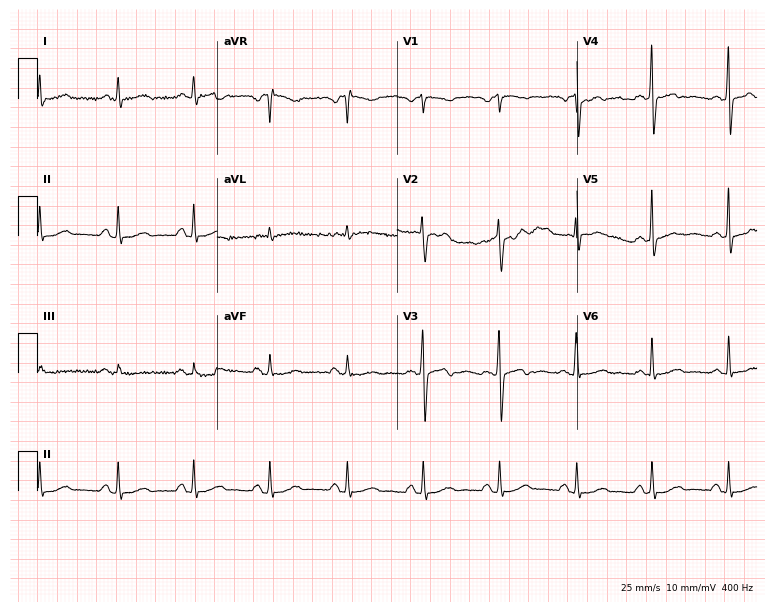
ECG (7.3-second recording at 400 Hz) — a female patient, 43 years old. Labelled as a normal ECG.